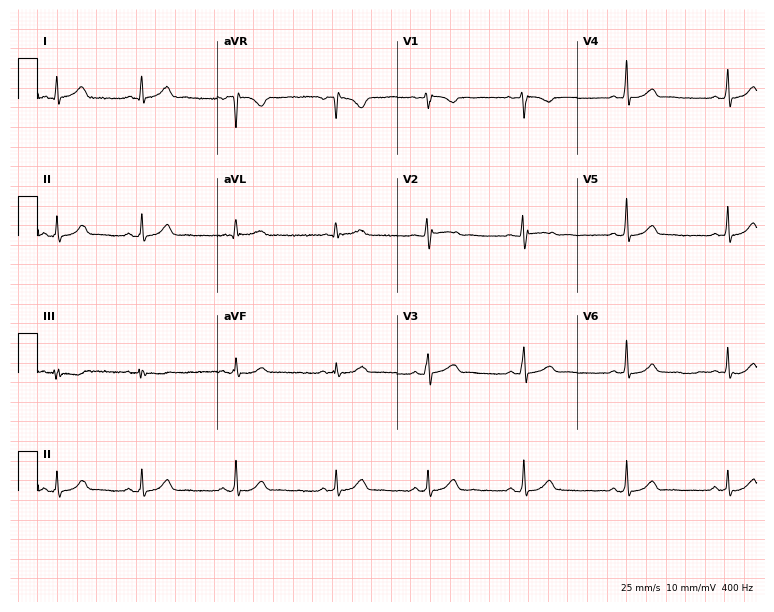
ECG — a woman, 20 years old. Screened for six findings — first-degree AV block, right bundle branch block, left bundle branch block, sinus bradycardia, atrial fibrillation, sinus tachycardia — none is recorded. Only these six findings were labelled.